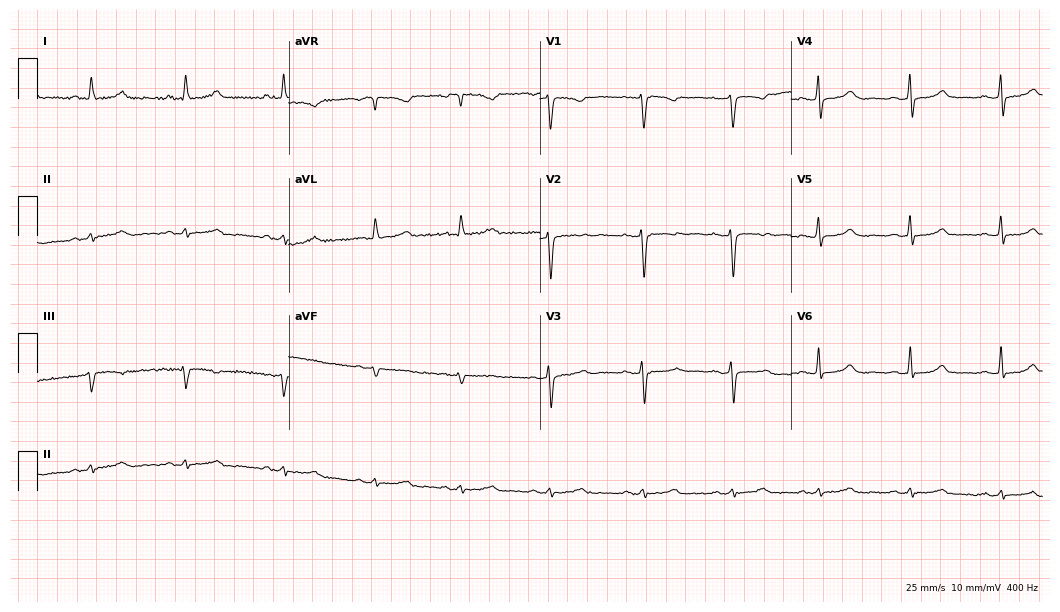
Resting 12-lead electrocardiogram. Patient: a 46-year-old female. None of these six findings is recorded: first-degree AV block, right bundle branch block, left bundle branch block, sinus bradycardia, atrial fibrillation, sinus tachycardia. Findings outside these six are not listed.